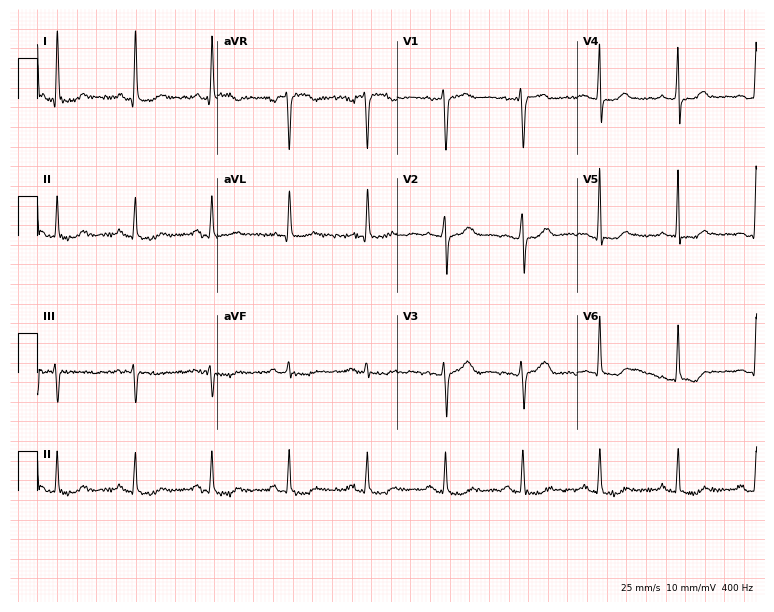
Standard 12-lead ECG recorded from a woman, 44 years old (7.3-second recording at 400 Hz). None of these six findings is recorded: first-degree AV block, right bundle branch block (RBBB), left bundle branch block (LBBB), sinus bradycardia, atrial fibrillation (AF), sinus tachycardia.